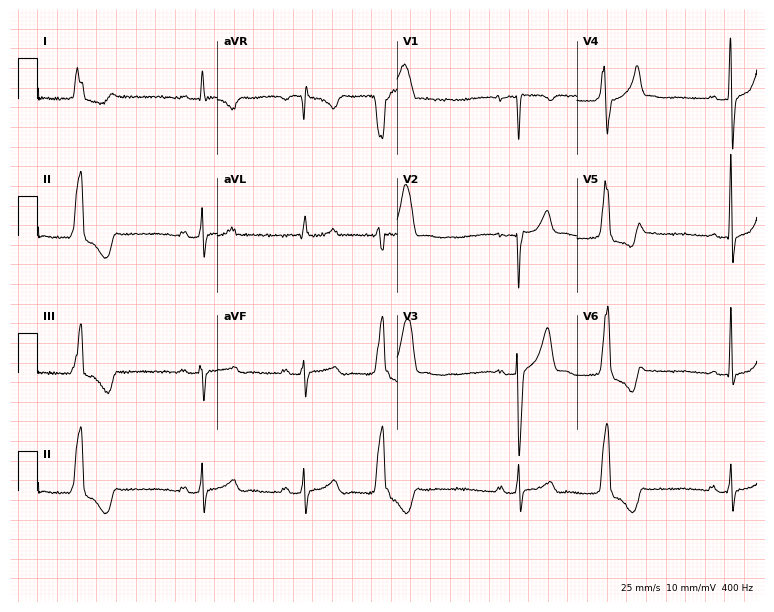
Standard 12-lead ECG recorded from a male, 38 years old (7.3-second recording at 400 Hz). None of these six findings is recorded: first-degree AV block, right bundle branch block (RBBB), left bundle branch block (LBBB), sinus bradycardia, atrial fibrillation (AF), sinus tachycardia. Other findings, if any, are not listed.